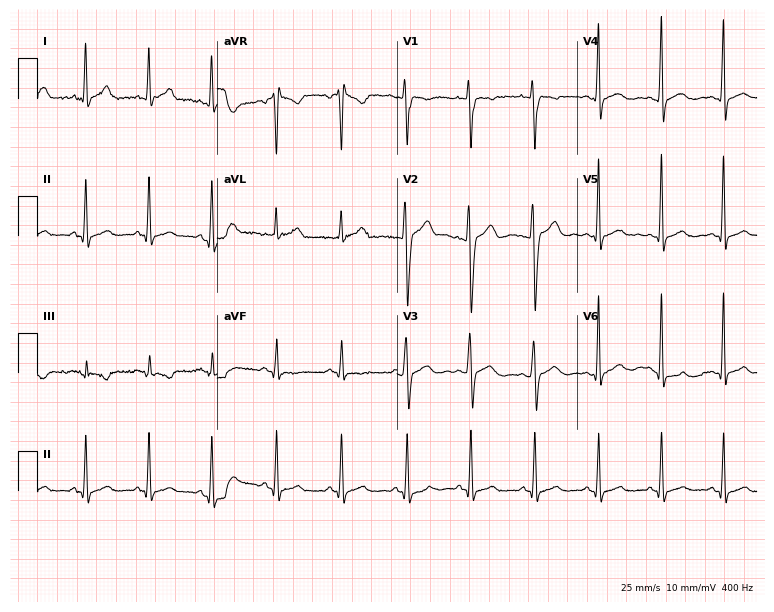
12-lead ECG from a male, 25 years old (7.3-second recording at 400 Hz). No first-degree AV block, right bundle branch block (RBBB), left bundle branch block (LBBB), sinus bradycardia, atrial fibrillation (AF) or sinus tachycardia recorded for this tracing.